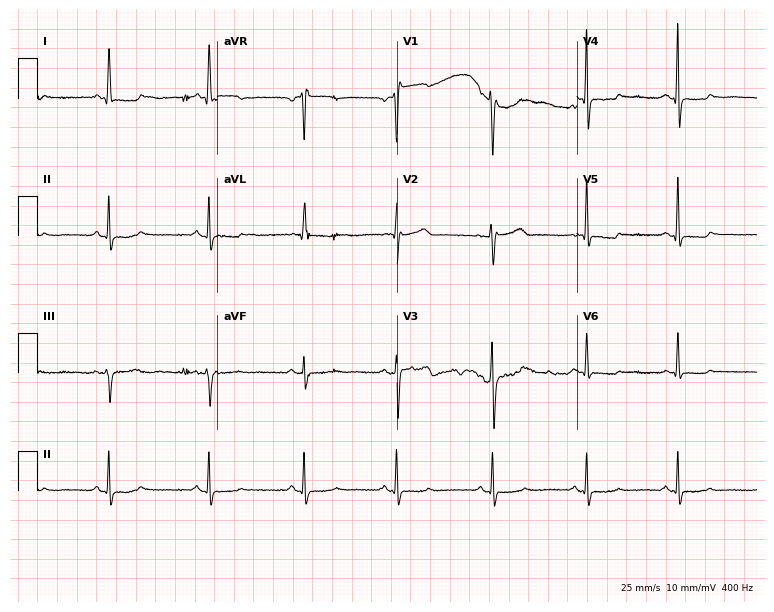
Standard 12-lead ECG recorded from a 57-year-old female. None of these six findings is recorded: first-degree AV block, right bundle branch block, left bundle branch block, sinus bradycardia, atrial fibrillation, sinus tachycardia. Findings outside these six are not listed.